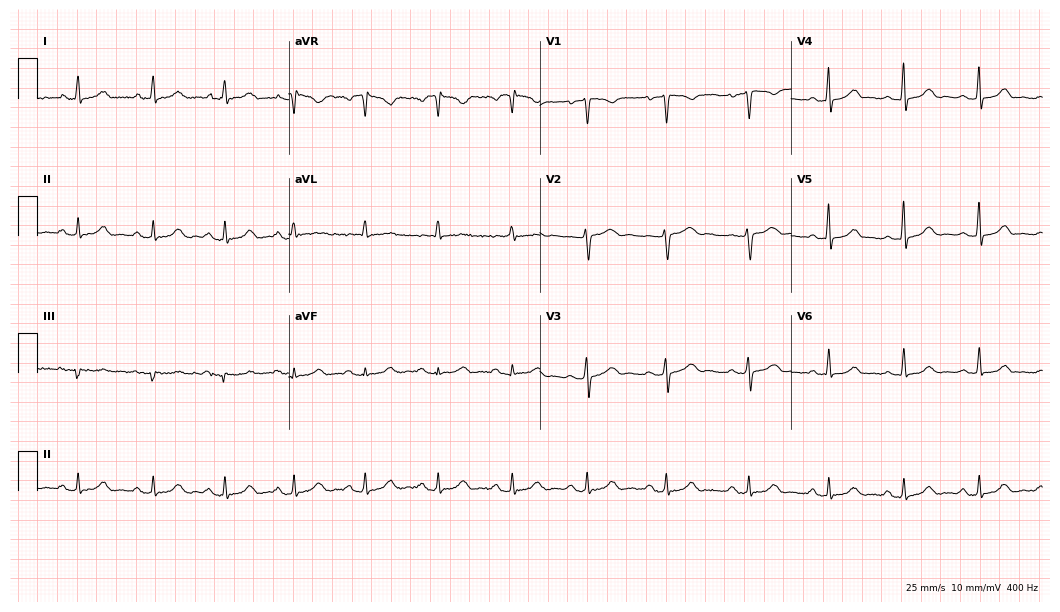
12-lead ECG from a 45-year-old female patient. No first-degree AV block, right bundle branch block (RBBB), left bundle branch block (LBBB), sinus bradycardia, atrial fibrillation (AF) or sinus tachycardia recorded for this tracing.